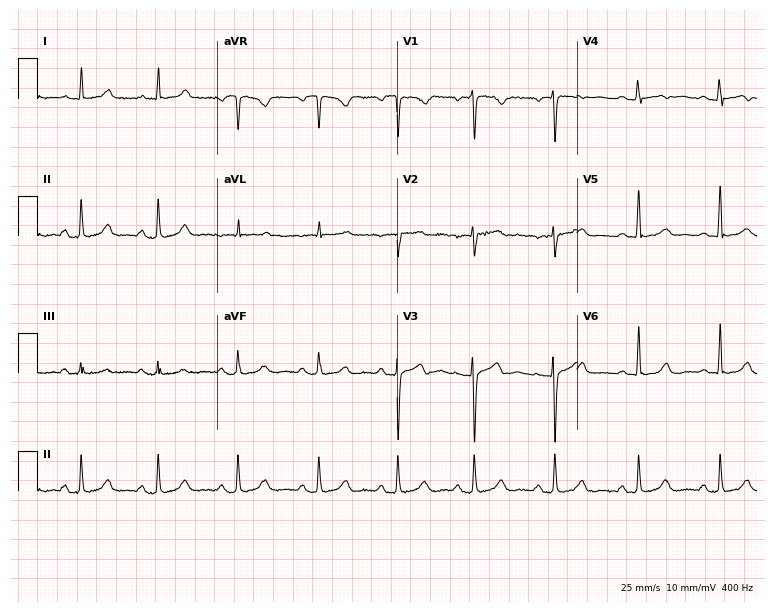
12-lead ECG from a female patient, 49 years old. Screened for six findings — first-degree AV block, right bundle branch block, left bundle branch block, sinus bradycardia, atrial fibrillation, sinus tachycardia — none is recorded. Other findings, if any, are not listed.